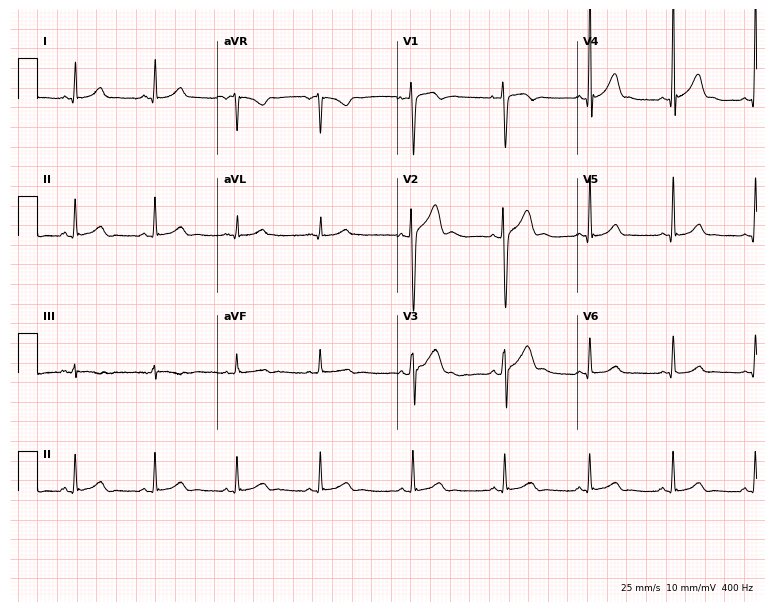
Resting 12-lead electrocardiogram (7.3-second recording at 400 Hz). Patient: a male, 21 years old. None of these six findings is recorded: first-degree AV block, right bundle branch block, left bundle branch block, sinus bradycardia, atrial fibrillation, sinus tachycardia.